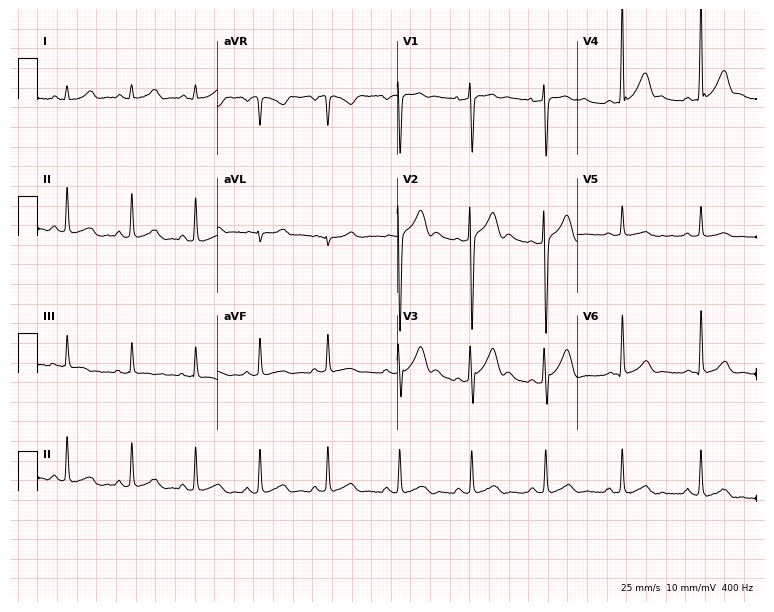
Standard 12-lead ECG recorded from a male, 19 years old (7.3-second recording at 400 Hz). None of these six findings is recorded: first-degree AV block, right bundle branch block, left bundle branch block, sinus bradycardia, atrial fibrillation, sinus tachycardia.